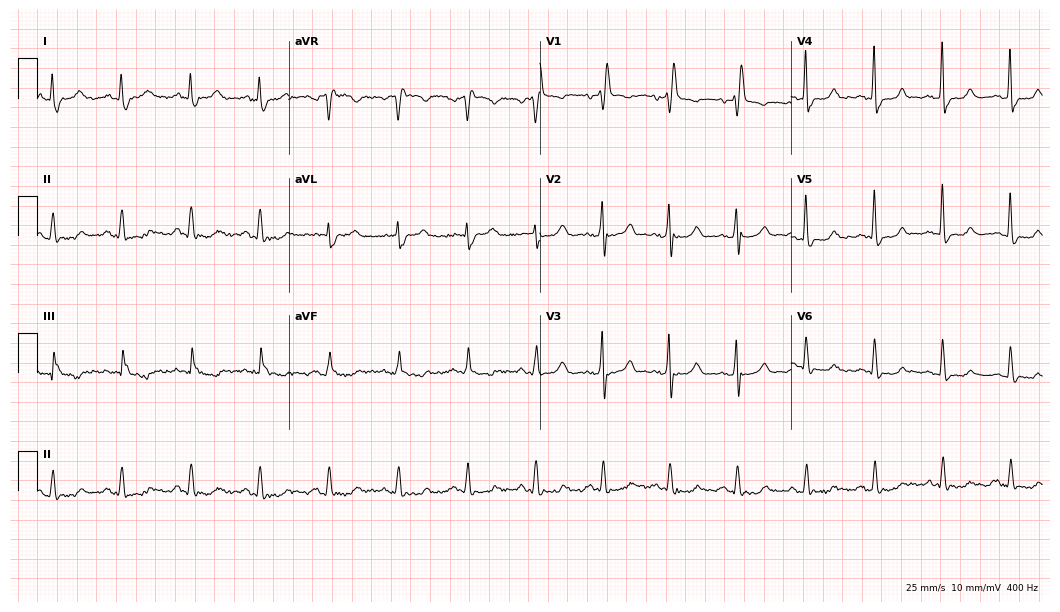
12-lead ECG (10.2-second recording at 400 Hz) from a man, 70 years old. Findings include right bundle branch block (RBBB).